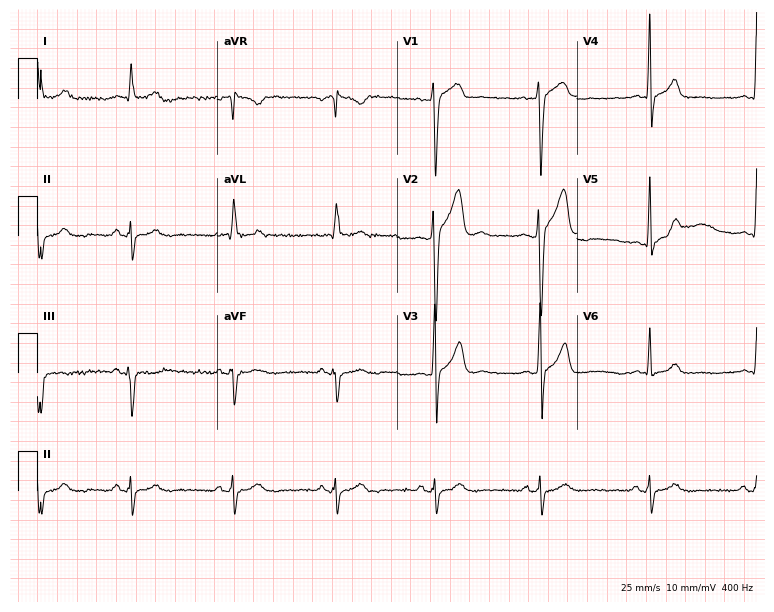
ECG (7.3-second recording at 400 Hz) — a male patient, 33 years old. Screened for six findings — first-degree AV block, right bundle branch block (RBBB), left bundle branch block (LBBB), sinus bradycardia, atrial fibrillation (AF), sinus tachycardia — none is recorded. Only these six findings were labelled.